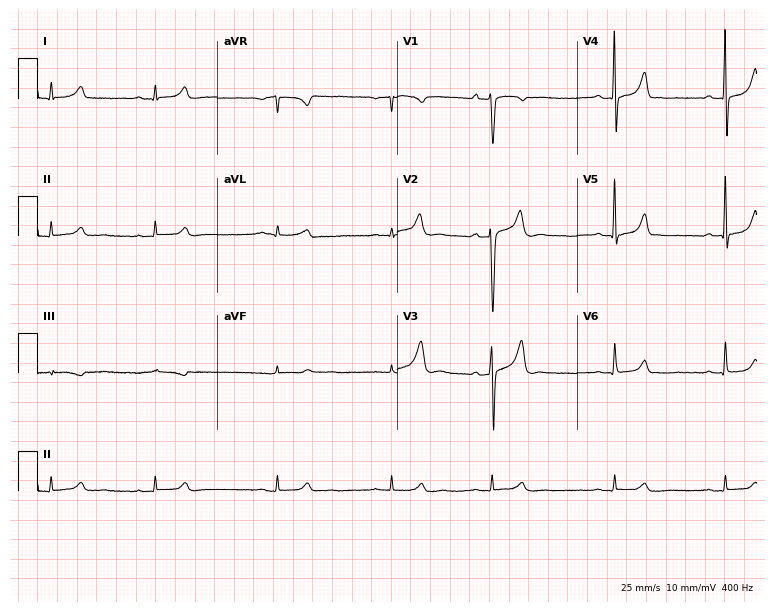
Resting 12-lead electrocardiogram (7.3-second recording at 400 Hz). Patient: a 29-year-old male. None of these six findings is recorded: first-degree AV block, right bundle branch block, left bundle branch block, sinus bradycardia, atrial fibrillation, sinus tachycardia.